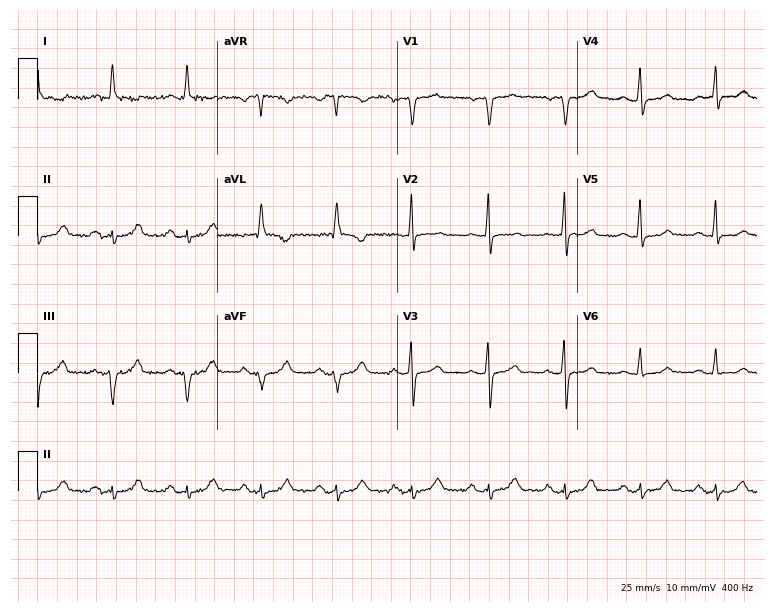
Electrocardiogram, a 65-year-old male. Of the six screened findings (first-degree AV block, right bundle branch block (RBBB), left bundle branch block (LBBB), sinus bradycardia, atrial fibrillation (AF), sinus tachycardia), none is recorded. Only these six findings were labelled.